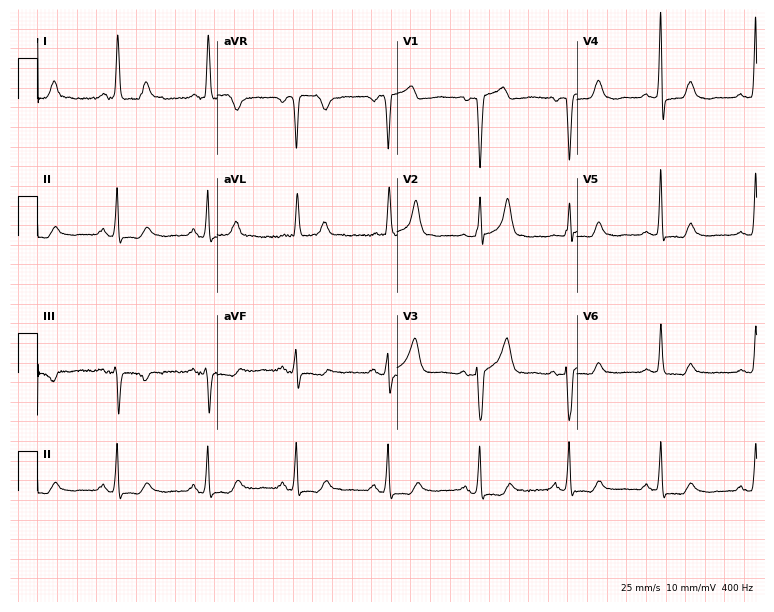
ECG (7.3-second recording at 400 Hz) — an 85-year-old female patient. Screened for six findings — first-degree AV block, right bundle branch block (RBBB), left bundle branch block (LBBB), sinus bradycardia, atrial fibrillation (AF), sinus tachycardia — none is recorded.